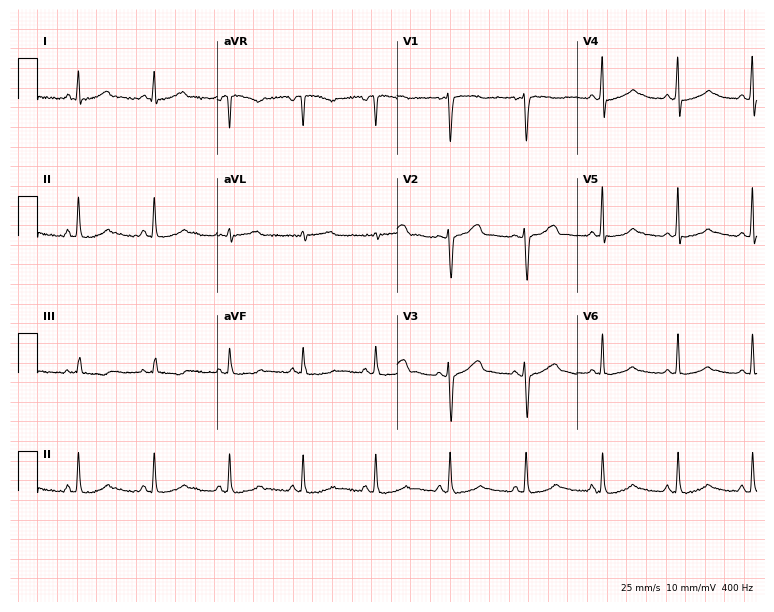
Electrocardiogram (7.3-second recording at 400 Hz), a woman, 30 years old. Overall reading on record: normal ECG.